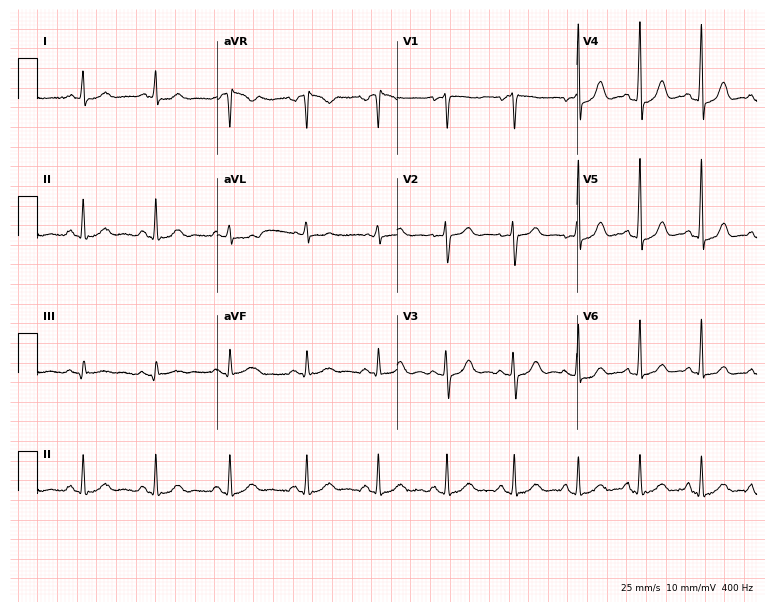
12-lead ECG from a female, 57 years old (7.3-second recording at 400 Hz). Recorded interpretation: within normal limits.